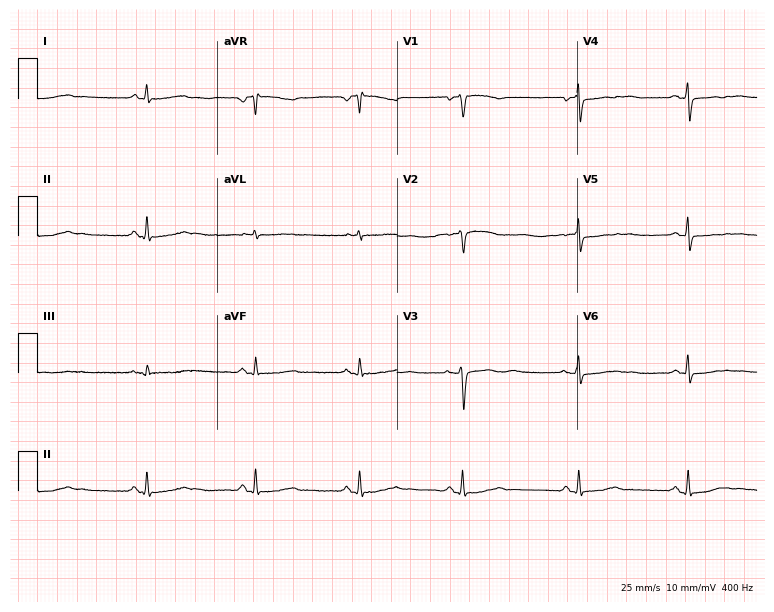
12-lead ECG from a female patient, 64 years old. Screened for six findings — first-degree AV block, right bundle branch block (RBBB), left bundle branch block (LBBB), sinus bradycardia, atrial fibrillation (AF), sinus tachycardia — none is recorded. Other findings, if any, are not listed.